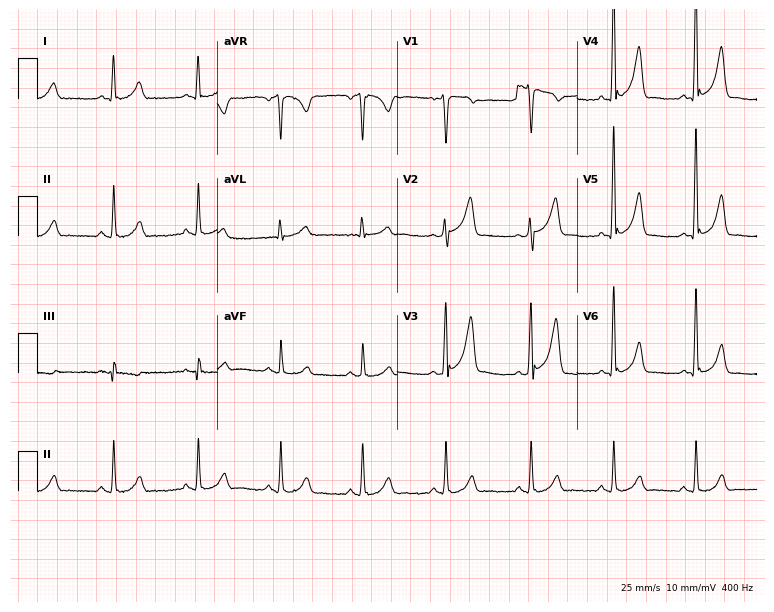
Standard 12-lead ECG recorded from a male patient, 50 years old (7.3-second recording at 400 Hz). None of these six findings is recorded: first-degree AV block, right bundle branch block, left bundle branch block, sinus bradycardia, atrial fibrillation, sinus tachycardia. Only these six findings were labelled.